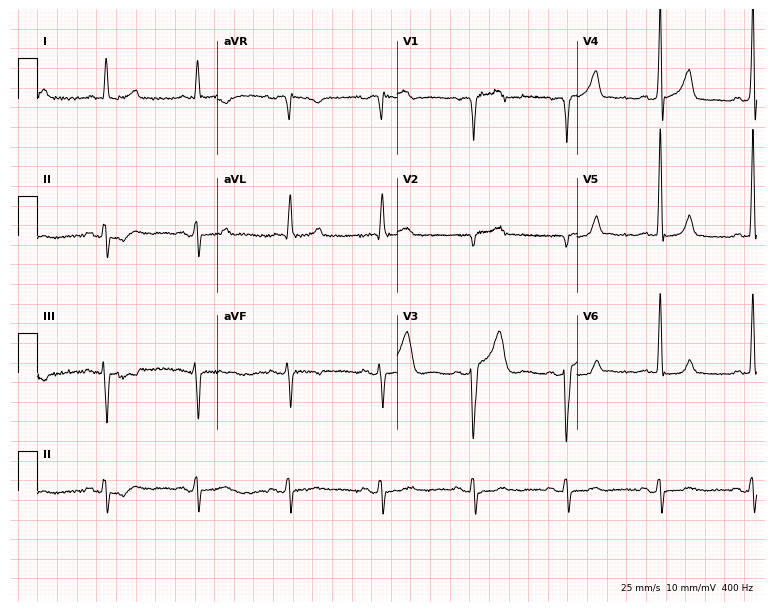
Electrocardiogram (7.3-second recording at 400 Hz), a 78-year-old man. Of the six screened findings (first-degree AV block, right bundle branch block, left bundle branch block, sinus bradycardia, atrial fibrillation, sinus tachycardia), none is recorded.